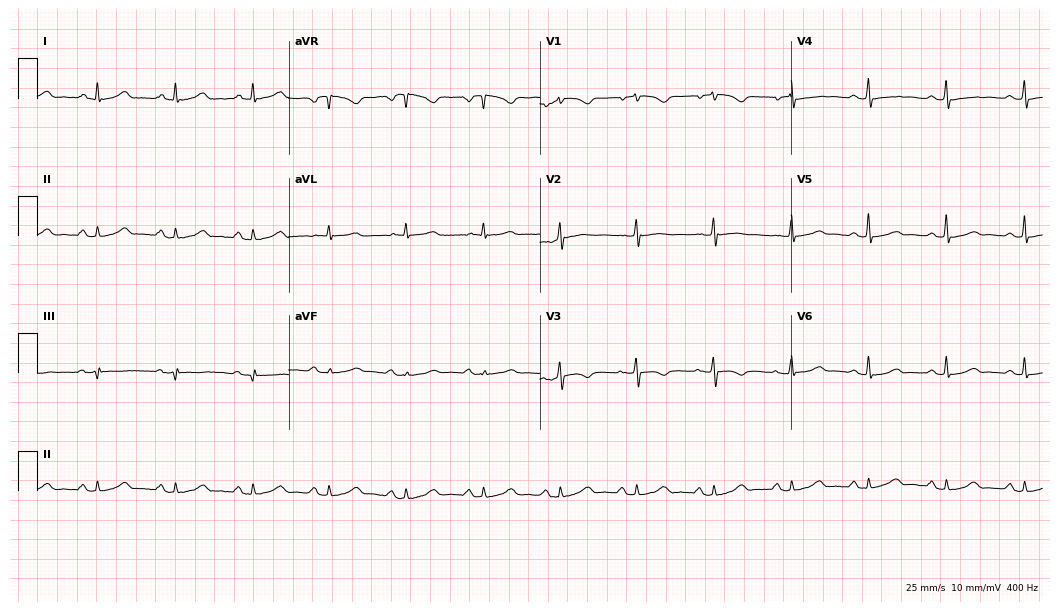
ECG — a woman, 62 years old. Labelled as a normal ECG.